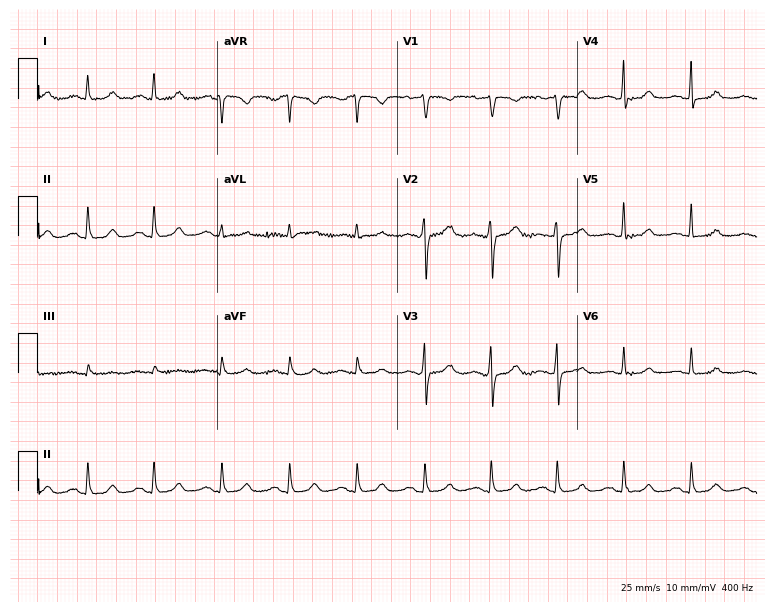
Electrocardiogram, a 51-year-old woman. Overall reading on record: normal ECG.